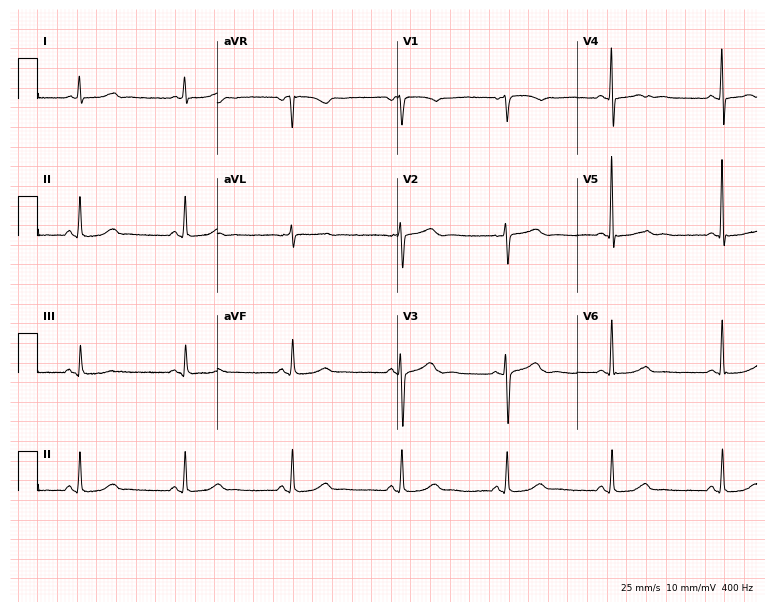
Resting 12-lead electrocardiogram (7.3-second recording at 400 Hz). Patient: a female, 65 years old. Read as a normal ECG.